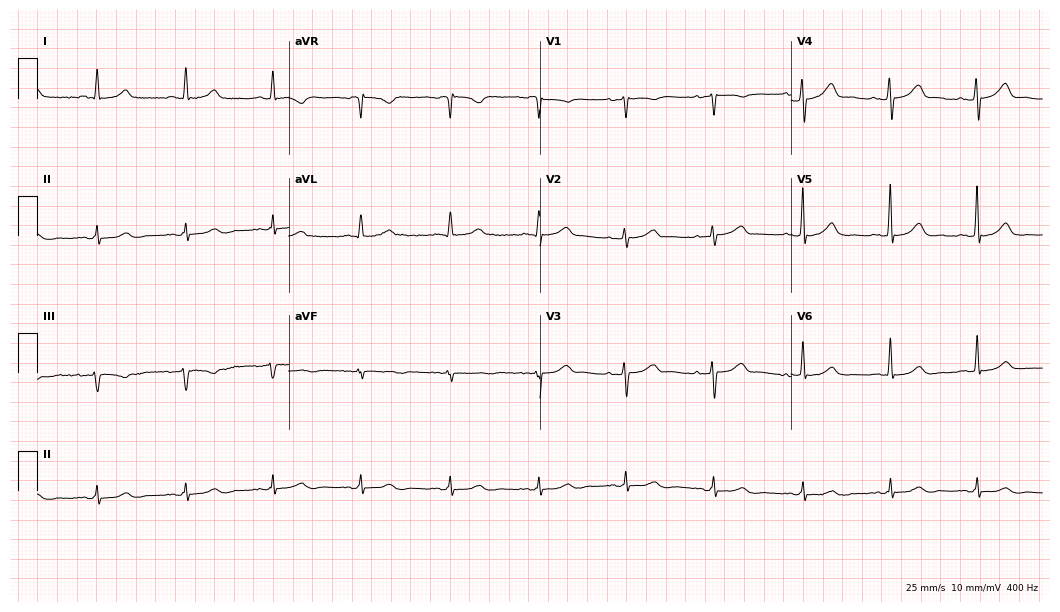
Standard 12-lead ECG recorded from a female patient, 52 years old (10.2-second recording at 400 Hz). Read as a normal ECG.